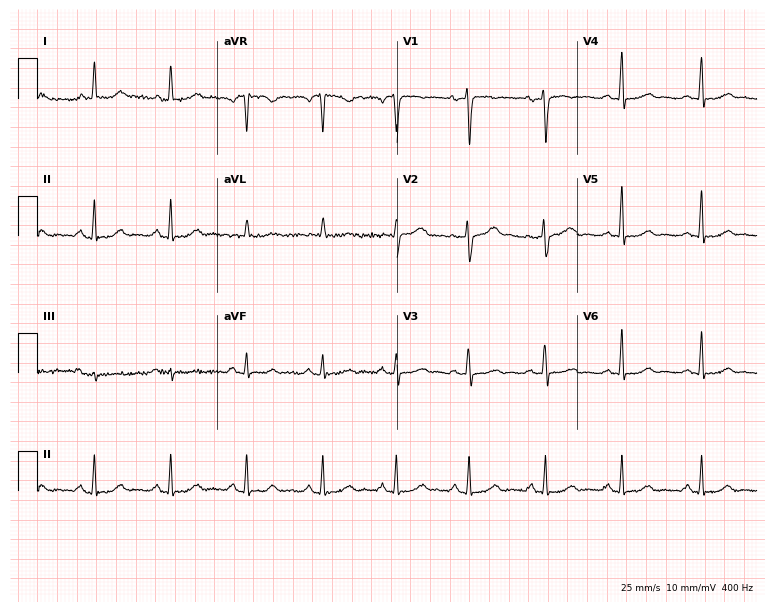
Standard 12-lead ECG recorded from a 46-year-old female (7.3-second recording at 400 Hz). None of these six findings is recorded: first-degree AV block, right bundle branch block (RBBB), left bundle branch block (LBBB), sinus bradycardia, atrial fibrillation (AF), sinus tachycardia. Only these six findings were labelled.